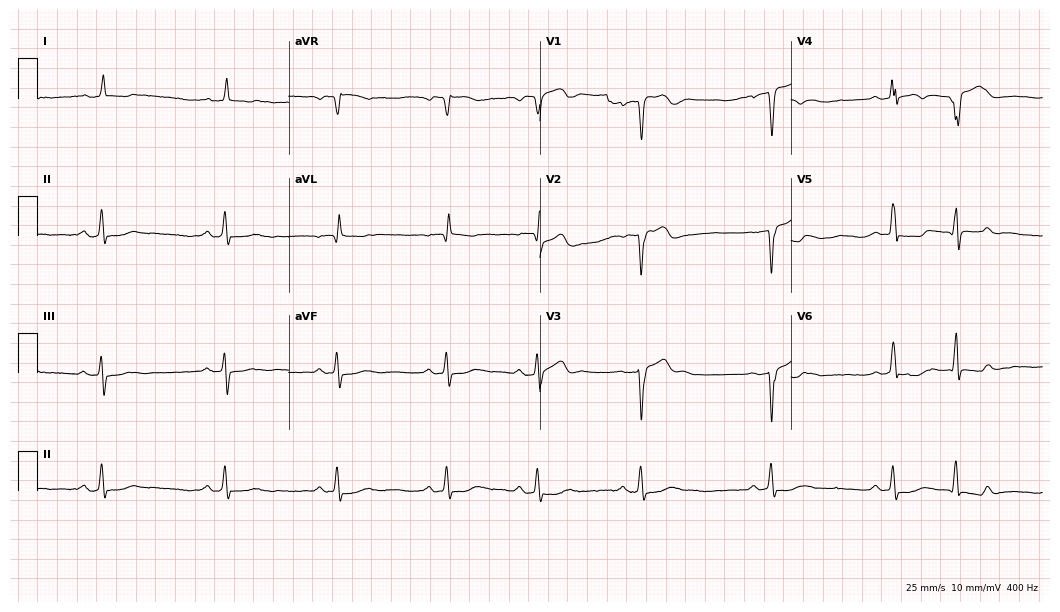
ECG (10.2-second recording at 400 Hz) — an 83-year-old man. Screened for six findings — first-degree AV block, right bundle branch block, left bundle branch block, sinus bradycardia, atrial fibrillation, sinus tachycardia — none is recorded.